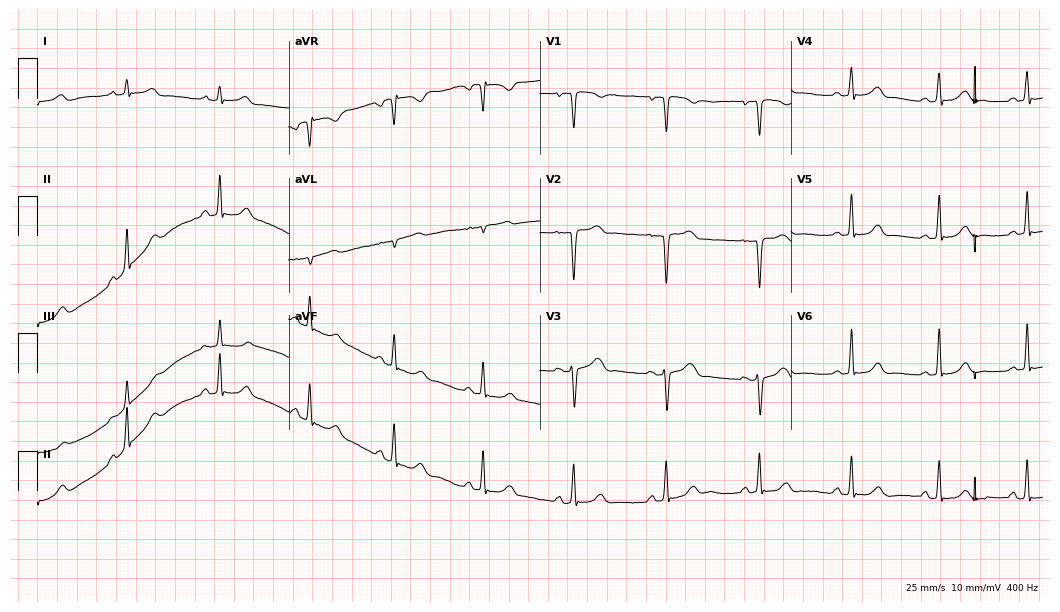
ECG (10.2-second recording at 400 Hz) — a 25-year-old woman. Screened for six findings — first-degree AV block, right bundle branch block (RBBB), left bundle branch block (LBBB), sinus bradycardia, atrial fibrillation (AF), sinus tachycardia — none is recorded. Only these six findings were labelled.